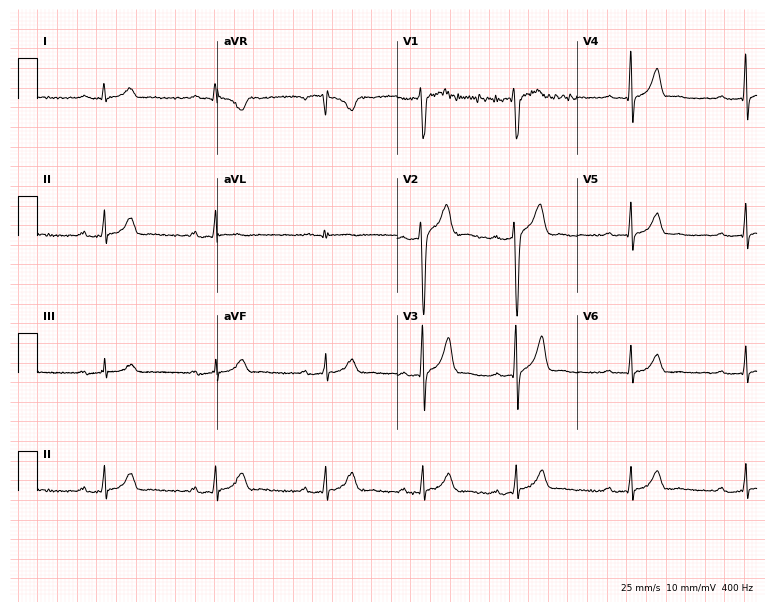
ECG — a man, 29 years old. Findings include first-degree AV block.